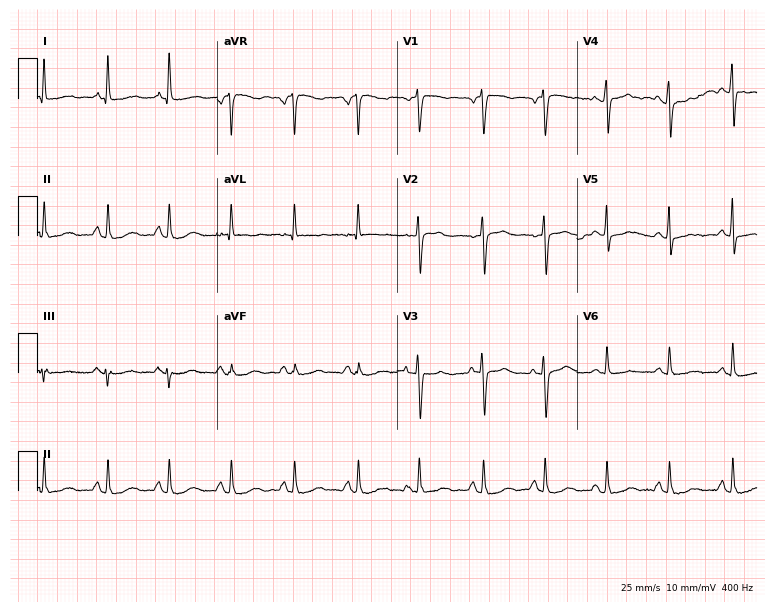
Electrocardiogram (7.3-second recording at 400 Hz), a woman, 75 years old. Of the six screened findings (first-degree AV block, right bundle branch block, left bundle branch block, sinus bradycardia, atrial fibrillation, sinus tachycardia), none is recorded. Other findings, if any, are not listed.